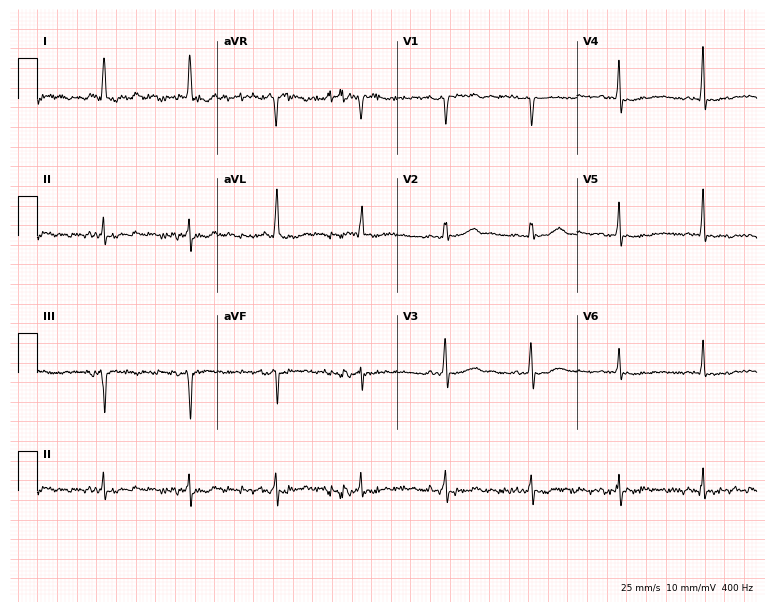
12-lead ECG (7.3-second recording at 400 Hz) from a 79-year-old female patient. Screened for six findings — first-degree AV block, right bundle branch block (RBBB), left bundle branch block (LBBB), sinus bradycardia, atrial fibrillation (AF), sinus tachycardia — none is recorded. Only these six findings were labelled.